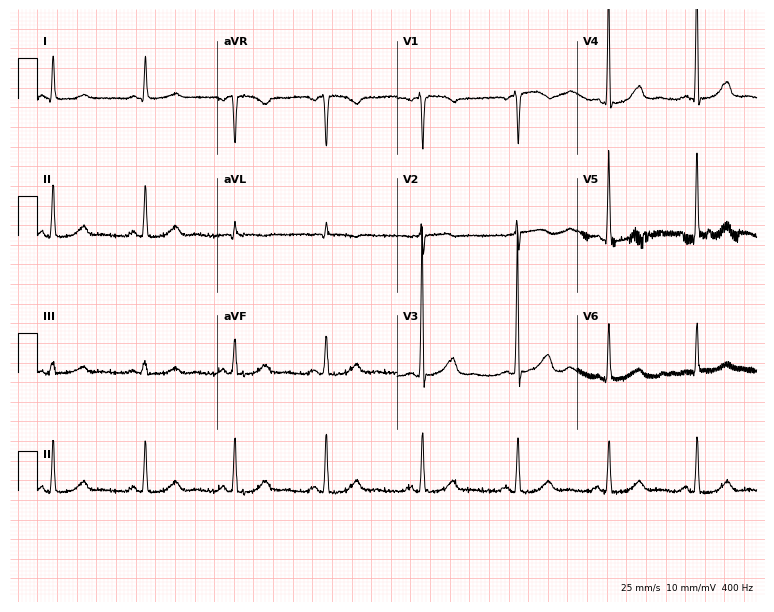
Resting 12-lead electrocardiogram (7.3-second recording at 400 Hz). Patient: a 41-year-old female. Read as a normal ECG.